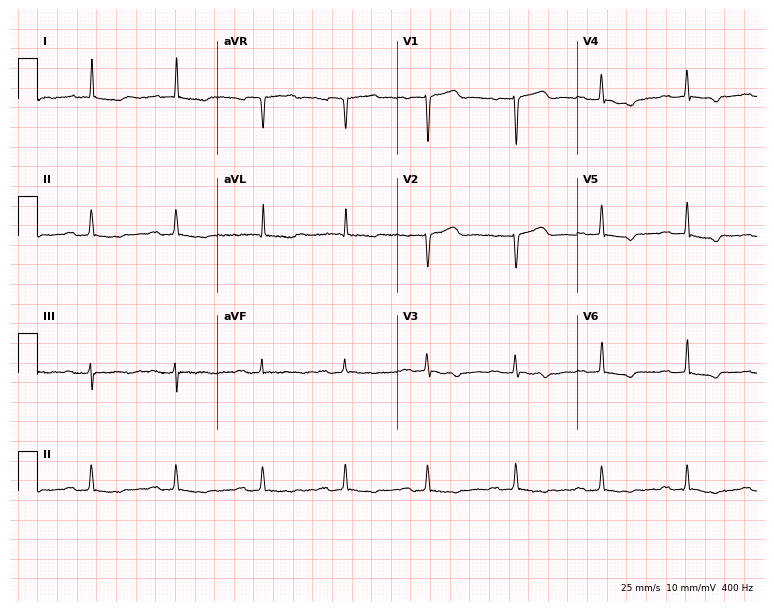
Standard 12-lead ECG recorded from a 75-year-old female patient (7.3-second recording at 400 Hz). None of these six findings is recorded: first-degree AV block, right bundle branch block, left bundle branch block, sinus bradycardia, atrial fibrillation, sinus tachycardia. Findings outside these six are not listed.